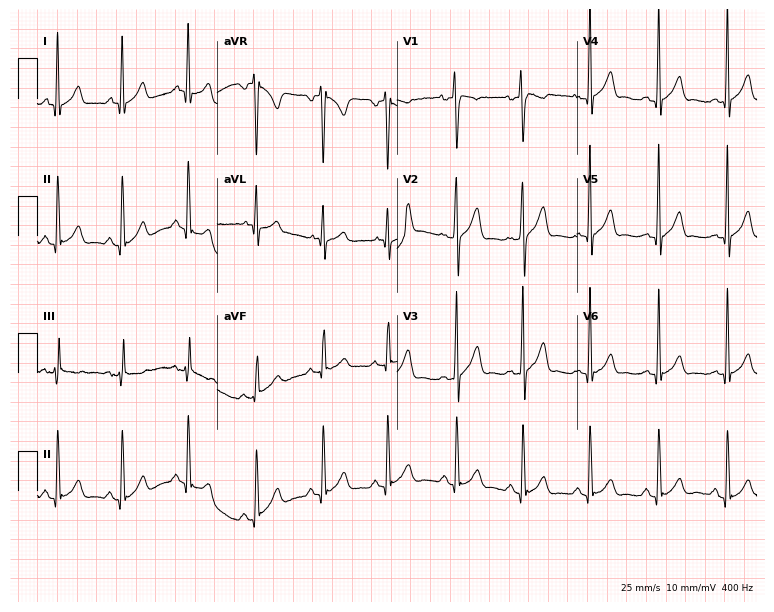
12-lead ECG (7.3-second recording at 400 Hz) from a man, 27 years old. Screened for six findings — first-degree AV block, right bundle branch block, left bundle branch block, sinus bradycardia, atrial fibrillation, sinus tachycardia — none is recorded.